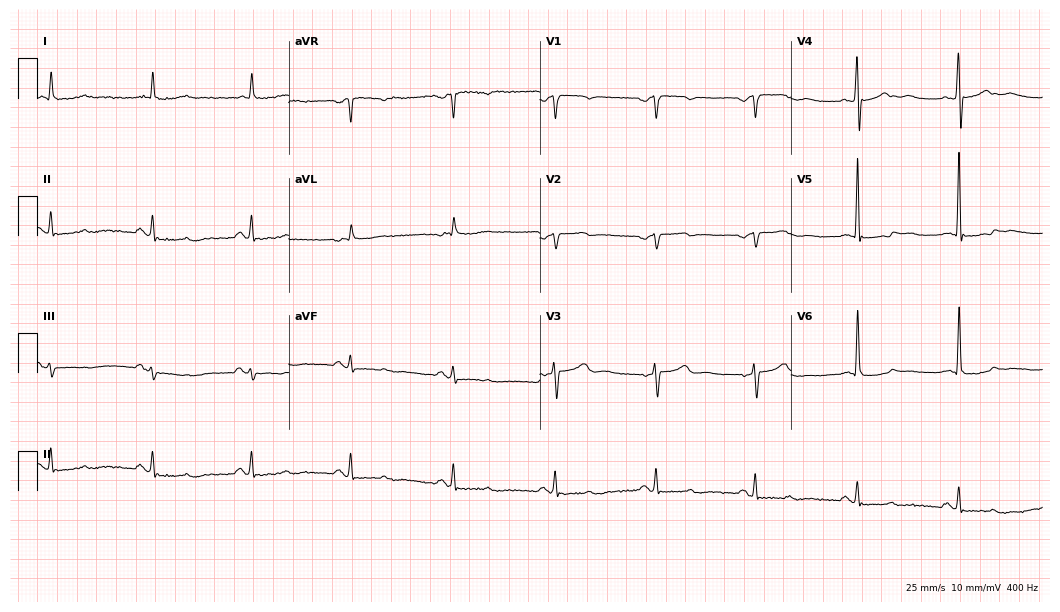
Standard 12-lead ECG recorded from a man, 73 years old (10.2-second recording at 400 Hz). None of these six findings is recorded: first-degree AV block, right bundle branch block, left bundle branch block, sinus bradycardia, atrial fibrillation, sinus tachycardia.